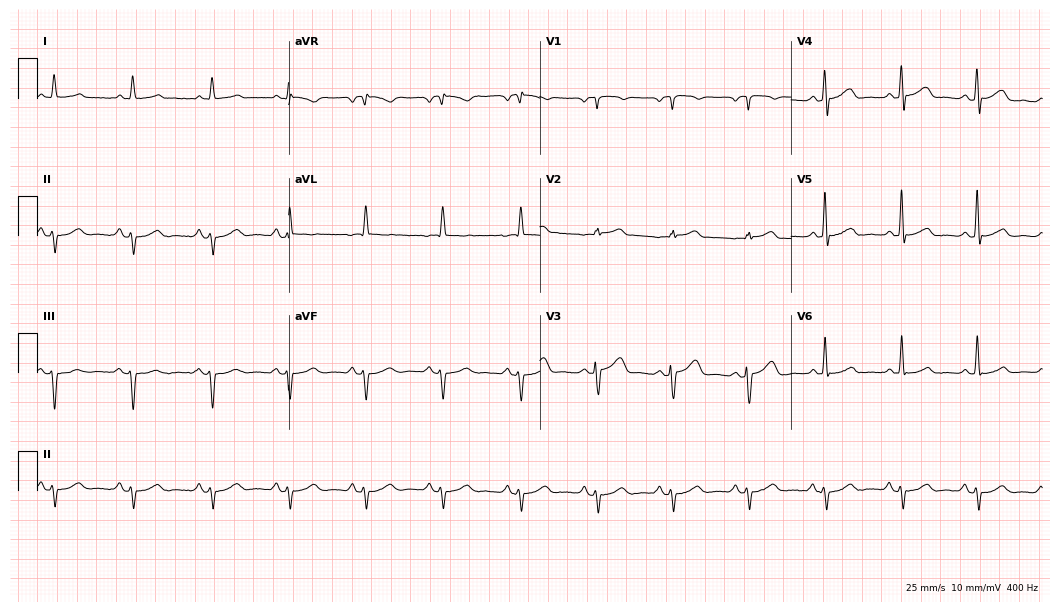
12-lead ECG from a 70-year-old male. No first-degree AV block, right bundle branch block, left bundle branch block, sinus bradycardia, atrial fibrillation or sinus tachycardia recorded for this tracing. Only these six findings were labelled.